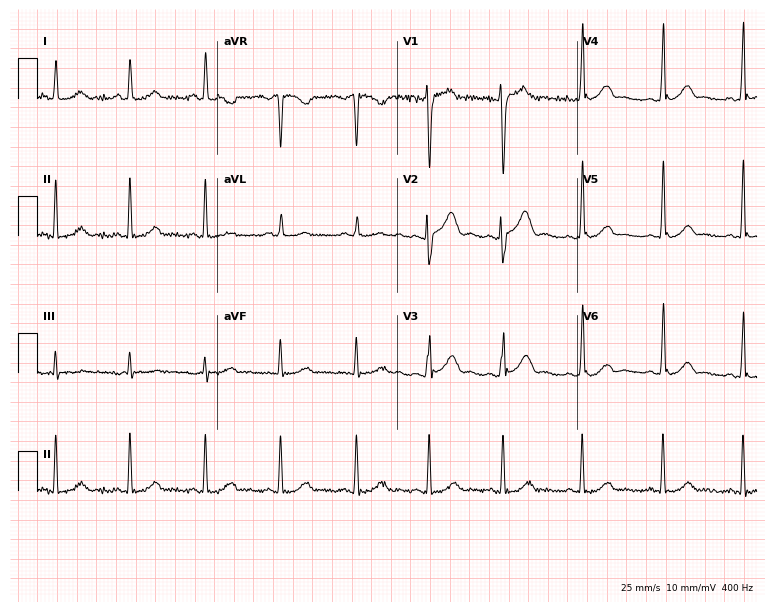
Resting 12-lead electrocardiogram (7.3-second recording at 400 Hz). Patient: a 28-year-old male. None of these six findings is recorded: first-degree AV block, right bundle branch block, left bundle branch block, sinus bradycardia, atrial fibrillation, sinus tachycardia. Findings outside these six are not listed.